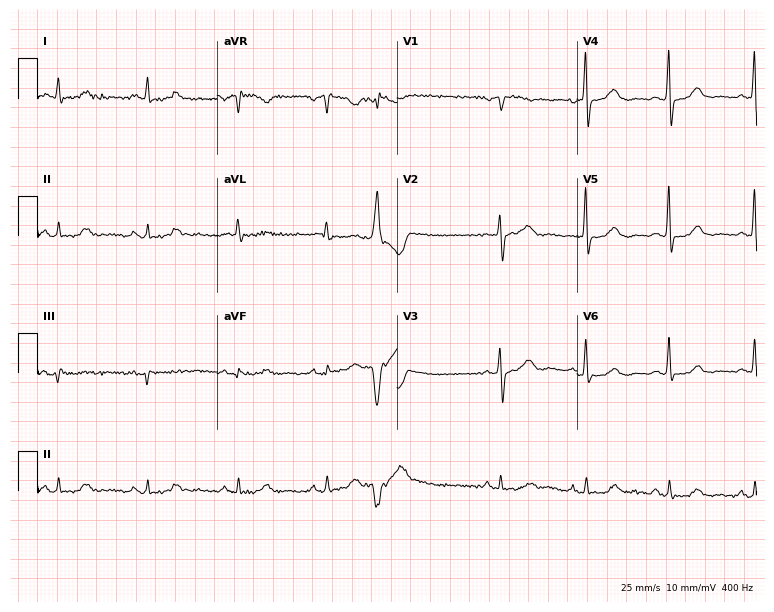
12-lead ECG (7.3-second recording at 400 Hz) from a 74-year-old female patient. Screened for six findings — first-degree AV block, right bundle branch block, left bundle branch block, sinus bradycardia, atrial fibrillation, sinus tachycardia — none is recorded.